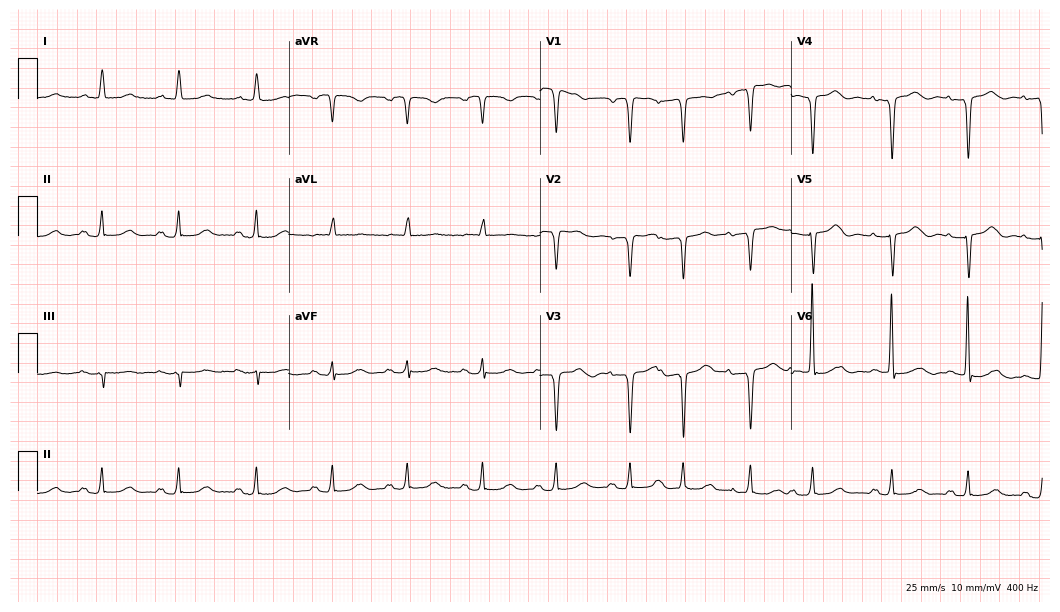
12-lead ECG from an 81-year-old female. No first-degree AV block, right bundle branch block, left bundle branch block, sinus bradycardia, atrial fibrillation or sinus tachycardia recorded for this tracing.